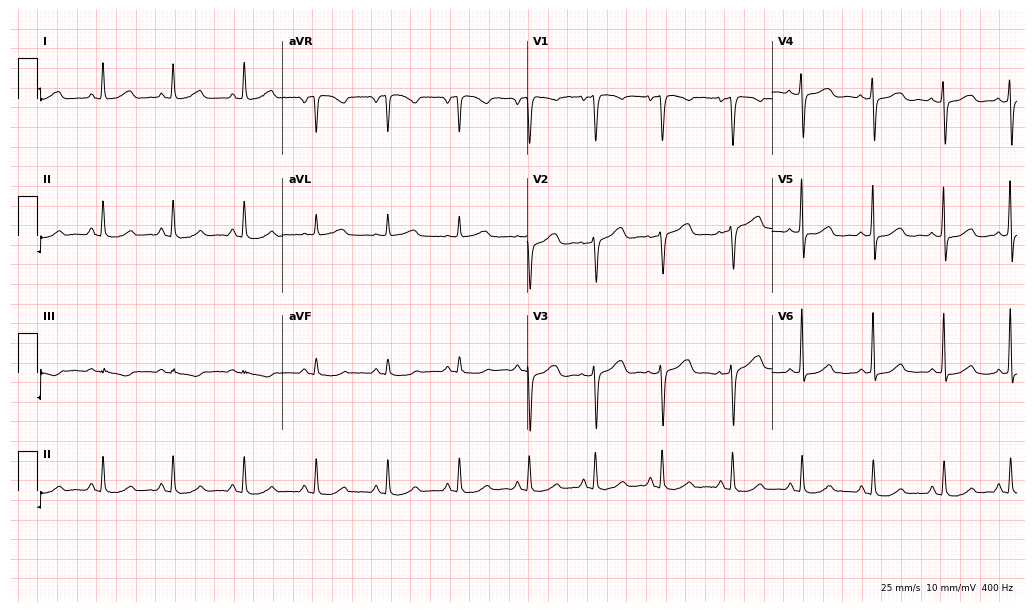
ECG — a 50-year-old female. Labelled as a normal ECG.